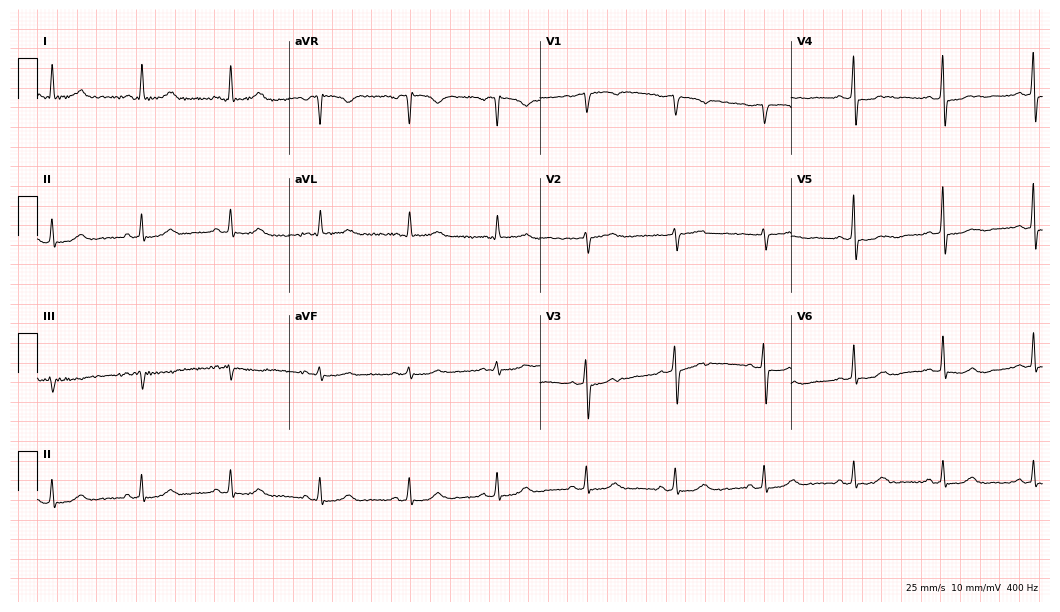
12-lead ECG from a 64-year-old woman (10.2-second recording at 400 Hz). Recorded interpretation: within normal limits.